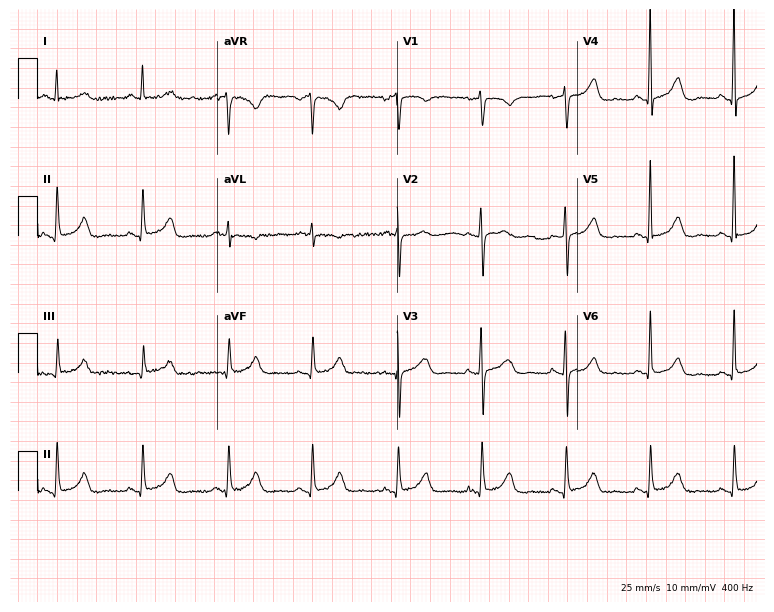
12-lead ECG from a female patient, 80 years old. Screened for six findings — first-degree AV block, right bundle branch block, left bundle branch block, sinus bradycardia, atrial fibrillation, sinus tachycardia — none is recorded.